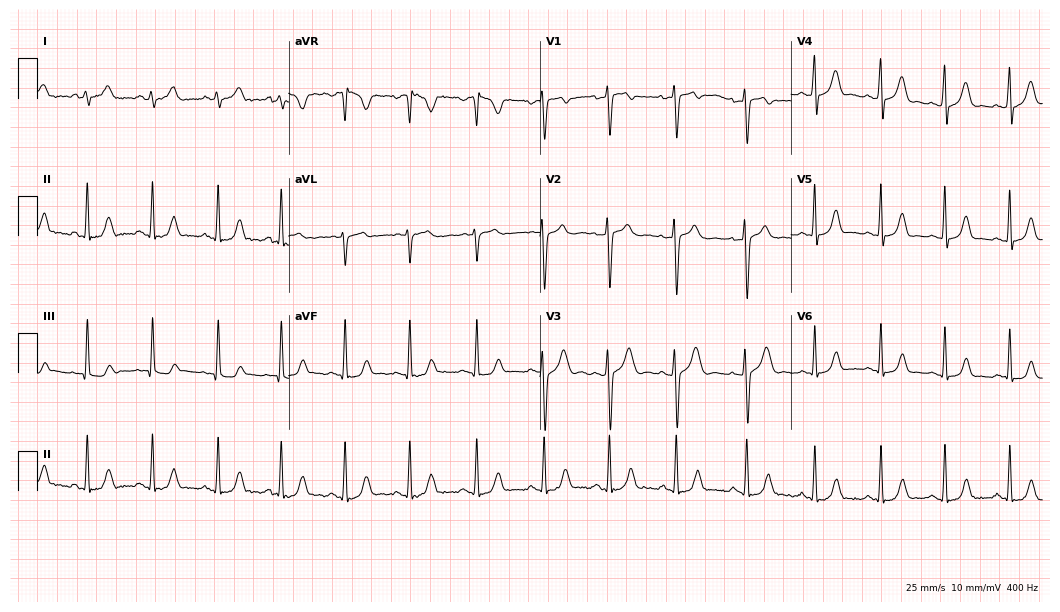
ECG (10.2-second recording at 400 Hz) — a 25-year-old woman. Labelled as a normal ECG.